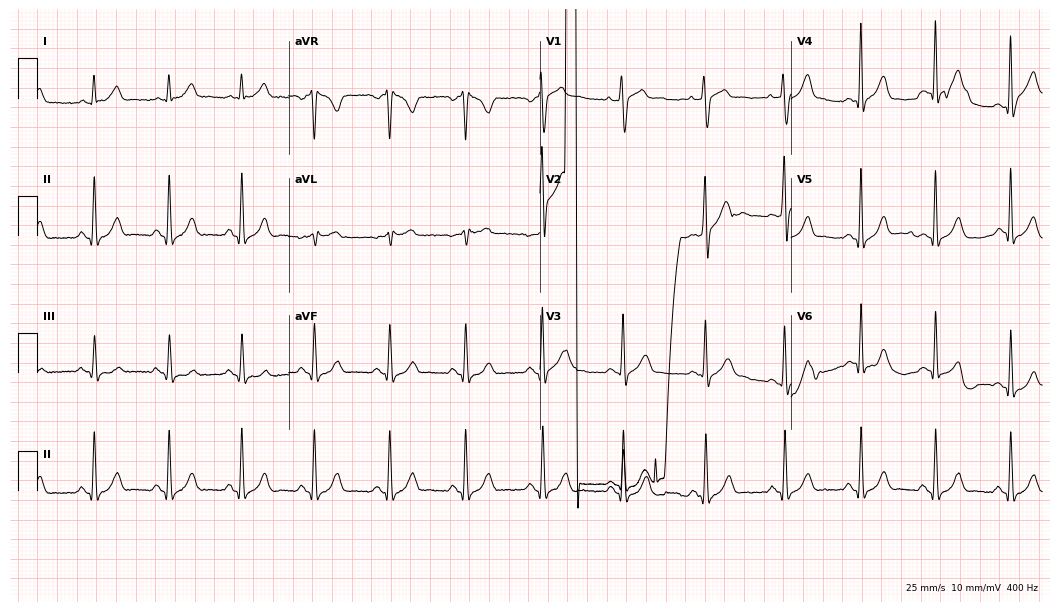
Standard 12-lead ECG recorded from a 35-year-old man (10.2-second recording at 400 Hz). None of these six findings is recorded: first-degree AV block, right bundle branch block, left bundle branch block, sinus bradycardia, atrial fibrillation, sinus tachycardia.